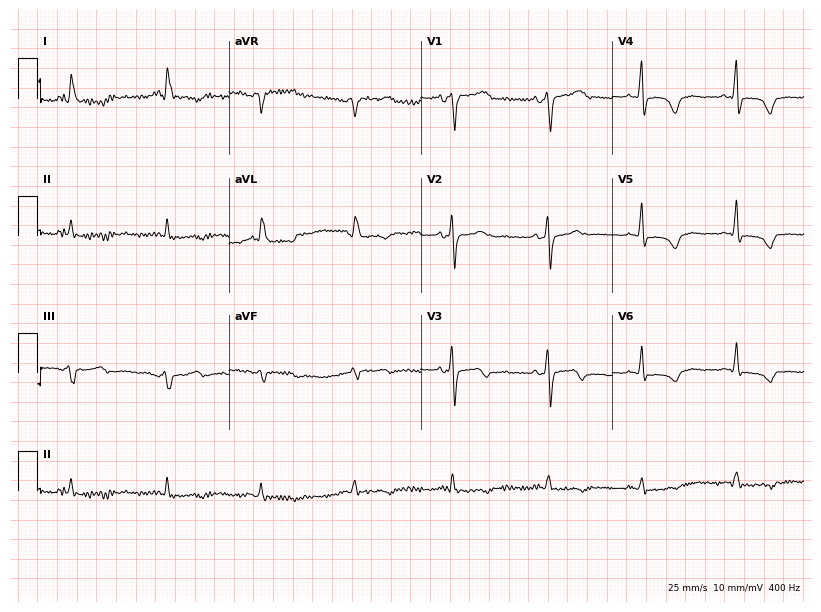
12-lead ECG from a 79-year-old woman (7.8-second recording at 400 Hz). No first-degree AV block, right bundle branch block, left bundle branch block, sinus bradycardia, atrial fibrillation or sinus tachycardia recorded for this tracing.